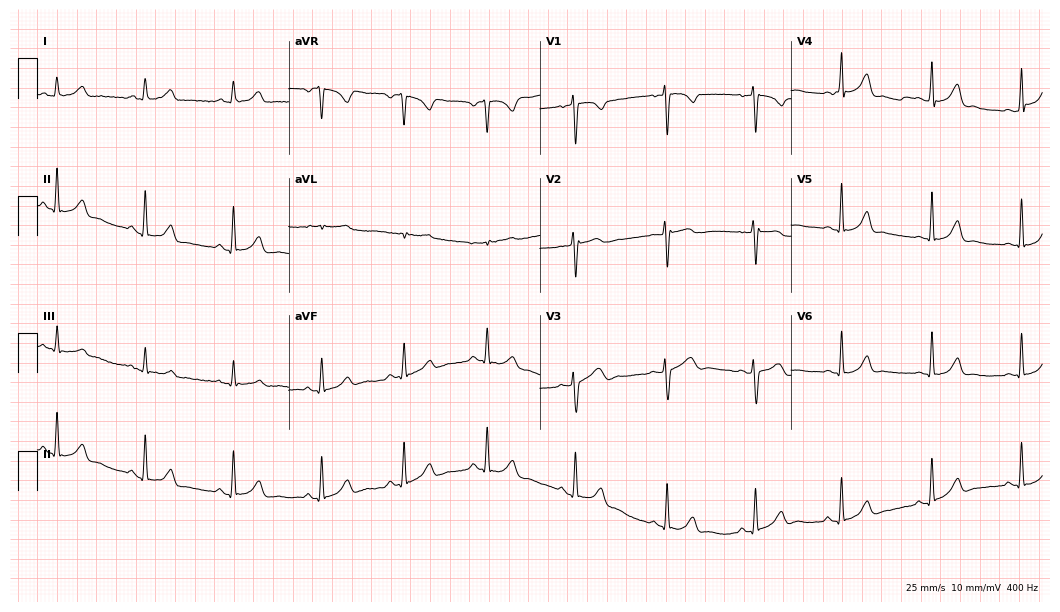
12-lead ECG from a female, 26 years old (10.2-second recording at 400 Hz). Recorded interpretation: within normal limits.